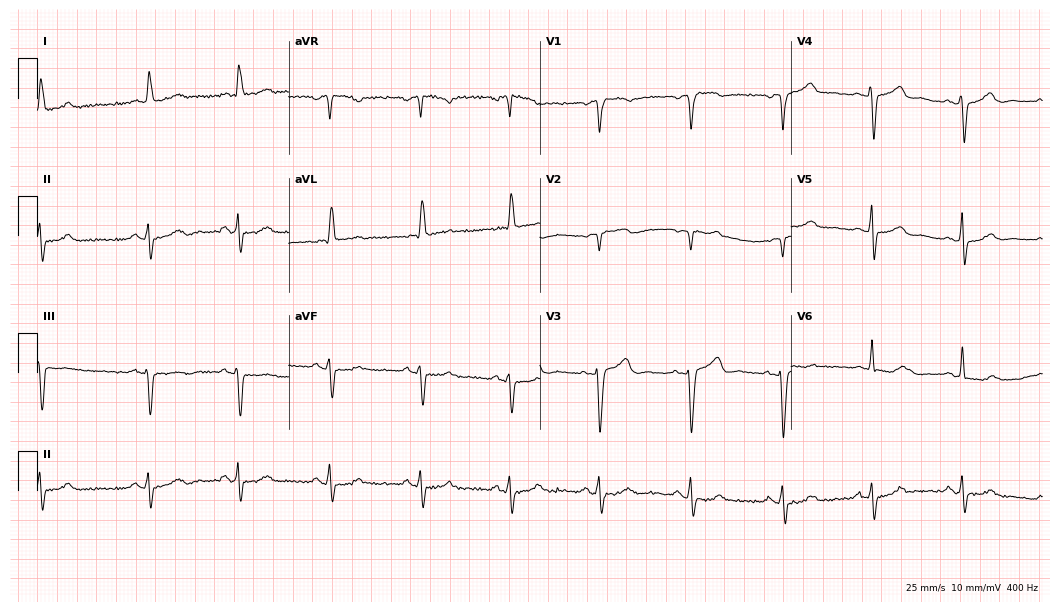
Standard 12-lead ECG recorded from a female, 74 years old. None of these six findings is recorded: first-degree AV block, right bundle branch block, left bundle branch block, sinus bradycardia, atrial fibrillation, sinus tachycardia. Other findings, if any, are not listed.